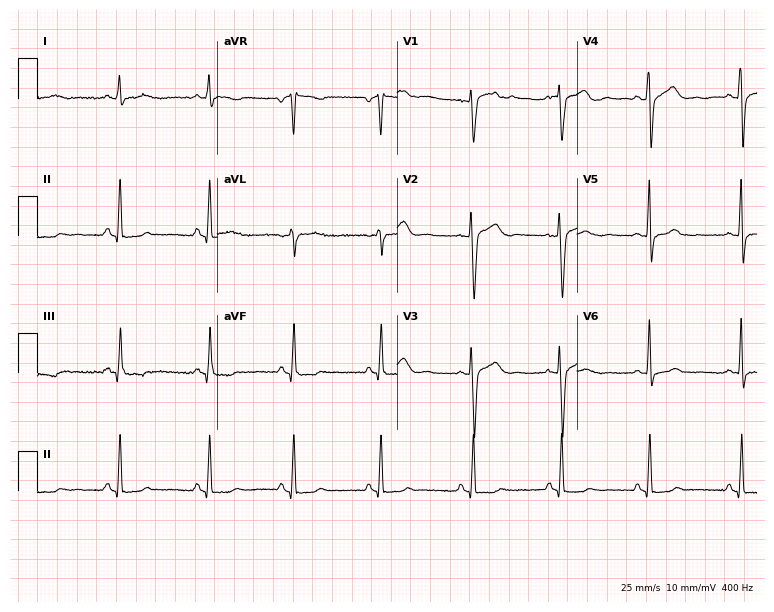
ECG (7.3-second recording at 400 Hz) — a man, 53 years old. Labelled as a normal ECG.